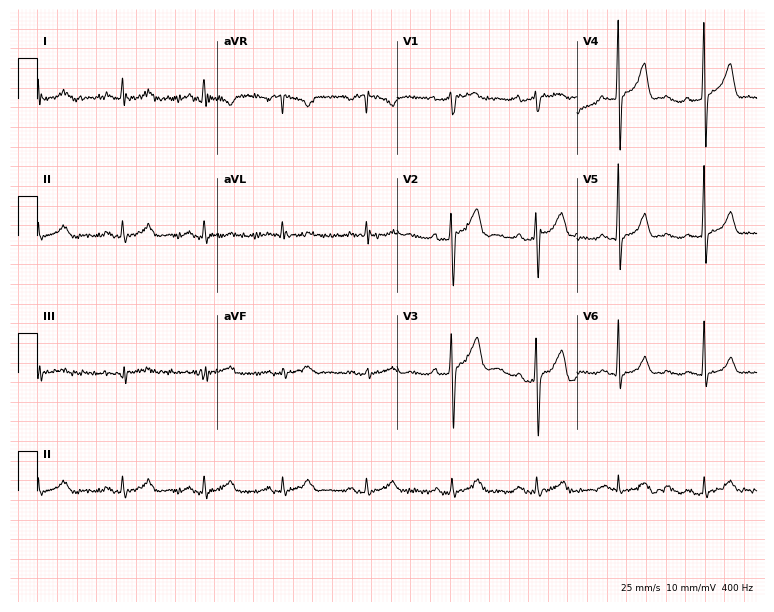
Electrocardiogram, a 32-year-old male patient. Overall reading on record: normal ECG.